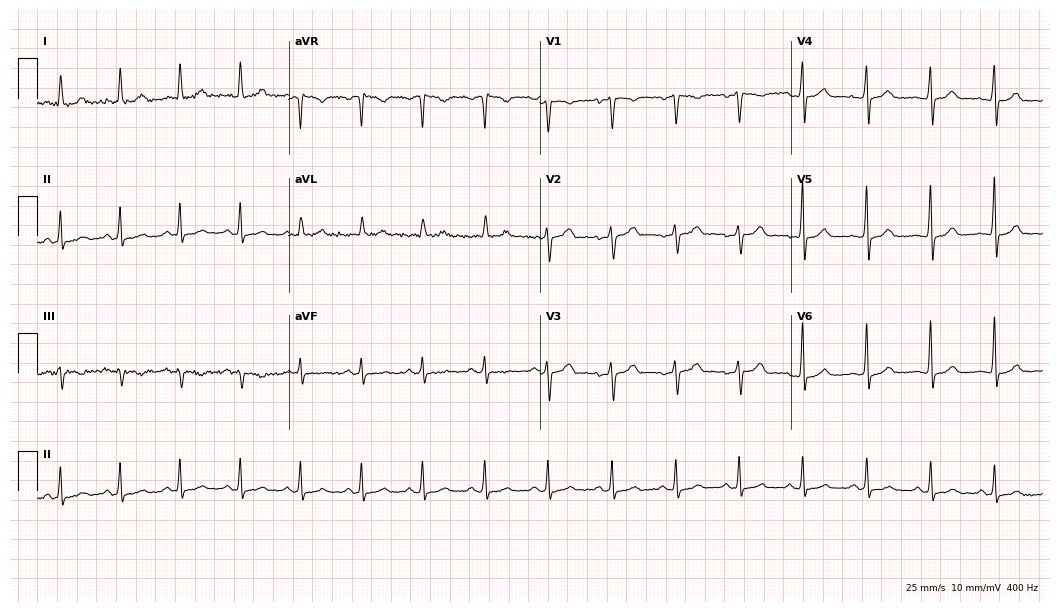
12-lead ECG (10.2-second recording at 400 Hz) from a female, 44 years old. Labelled as a normal ECG.